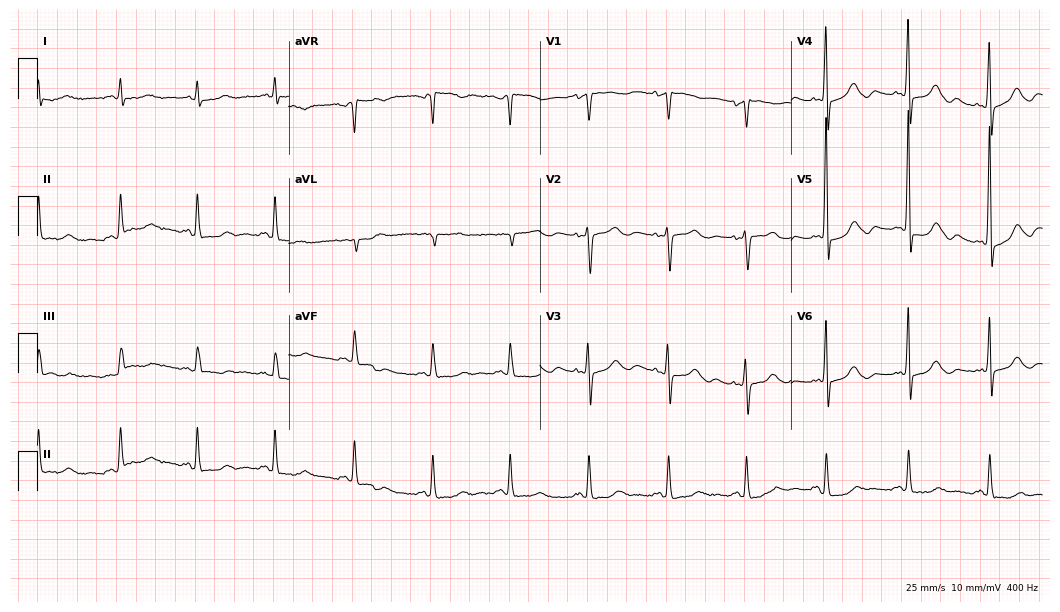
Electrocardiogram, an 81-year-old female patient. Of the six screened findings (first-degree AV block, right bundle branch block (RBBB), left bundle branch block (LBBB), sinus bradycardia, atrial fibrillation (AF), sinus tachycardia), none is recorded. Other findings, if any, are not listed.